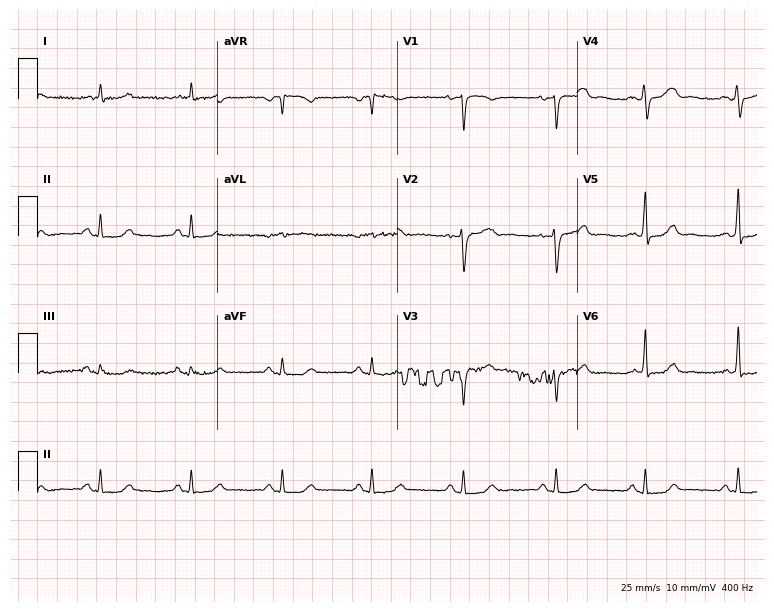
Resting 12-lead electrocardiogram. Patient: a 60-year-old female. Read as a normal ECG.